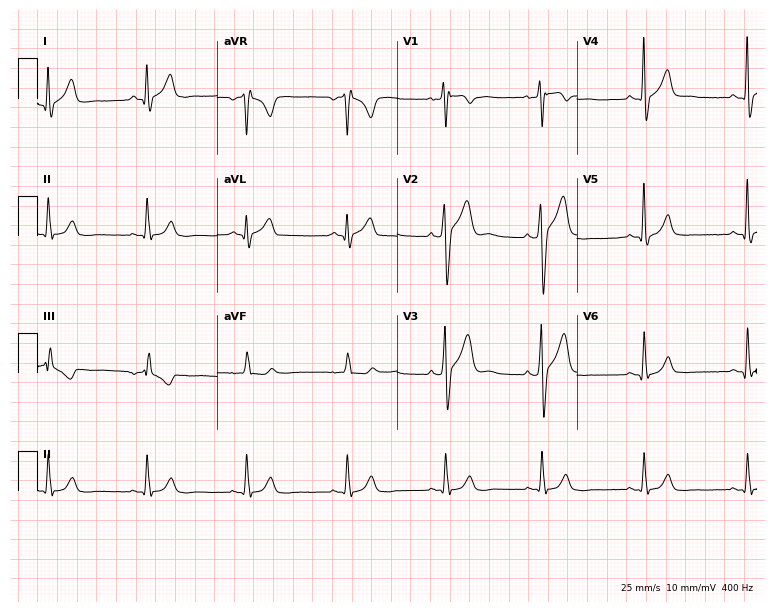
Electrocardiogram, a male, 37 years old. Of the six screened findings (first-degree AV block, right bundle branch block, left bundle branch block, sinus bradycardia, atrial fibrillation, sinus tachycardia), none is recorded. Findings outside these six are not listed.